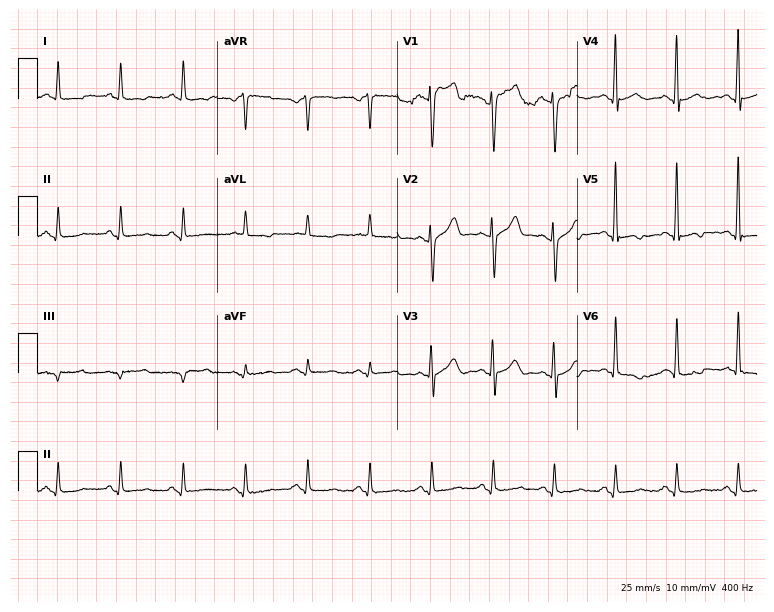
12-lead ECG (7.3-second recording at 400 Hz) from a 71-year-old man. Screened for six findings — first-degree AV block, right bundle branch block (RBBB), left bundle branch block (LBBB), sinus bradycardia, atrial fibrillation (AF), sinus tachycardia — none is recorded.